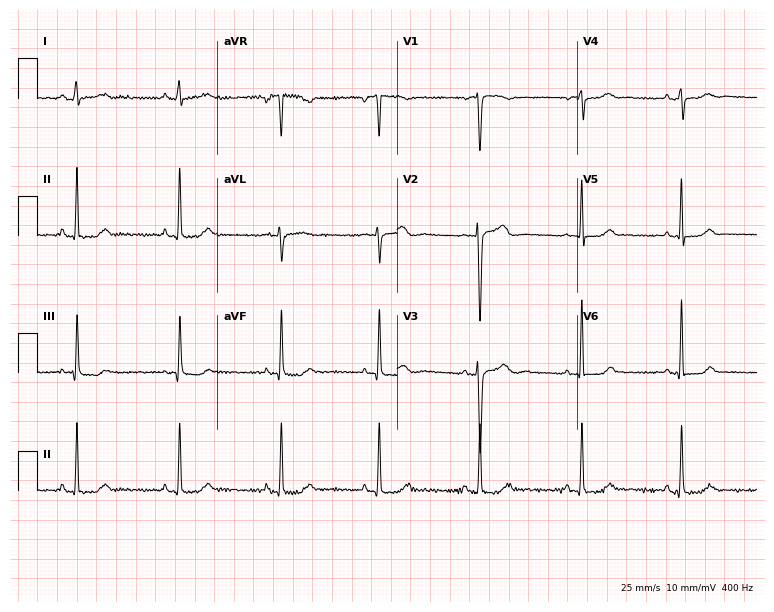
ECG — a 39-year-old woman. Screened for six findings — first-degree AV block, right bundle branch block, left bundle branch block, sinus bradycardia, atrial fibrillation, sinus tachycardia — none is recorded.